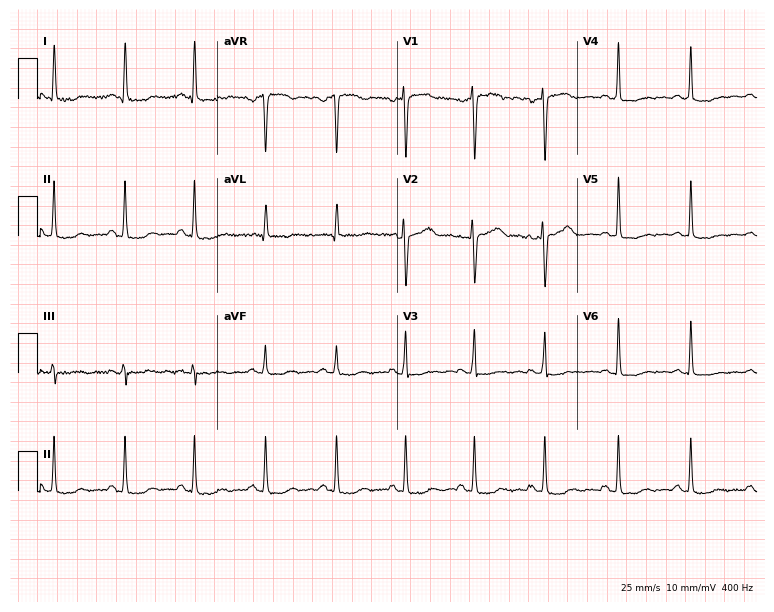
12-lead ECG from a female patient, 54 years old. No first-degree AV block, right bundle branch block, left bundle branch block, sinus bradycardia, atrial fibrillation or sinus tachycardia recorded for this tracing.